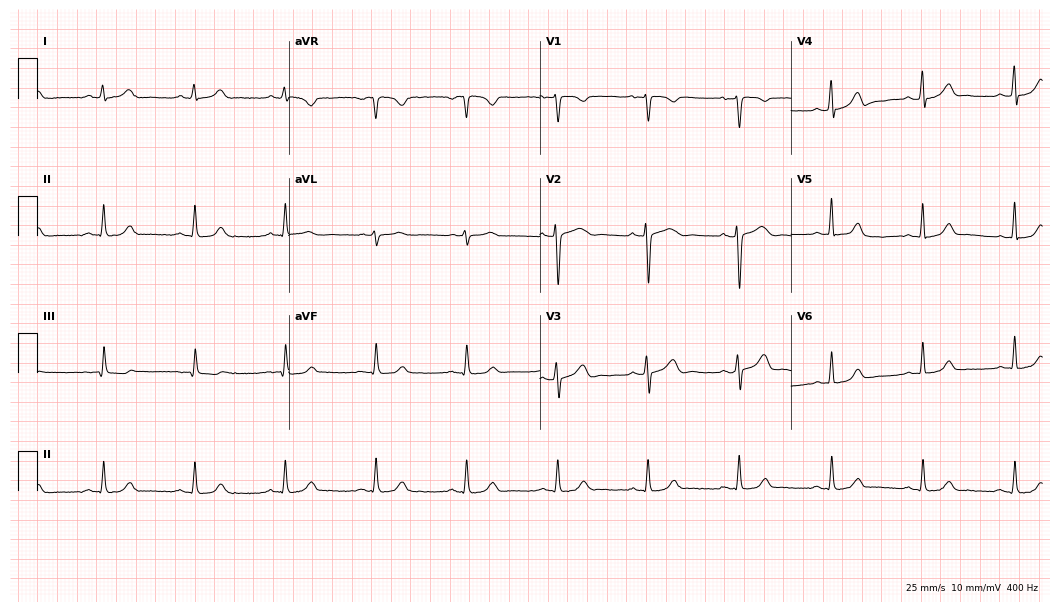
Resting 12-lead electrocardiogram (10.2-second recording at 400 Hz). Patient: a female, 47 years old. None of these six findings is recorded: first-degree AV block, right bundle branch block, left bundle branch block, sinus bradycardia, atrial fibrillation, sinus tachycardia.